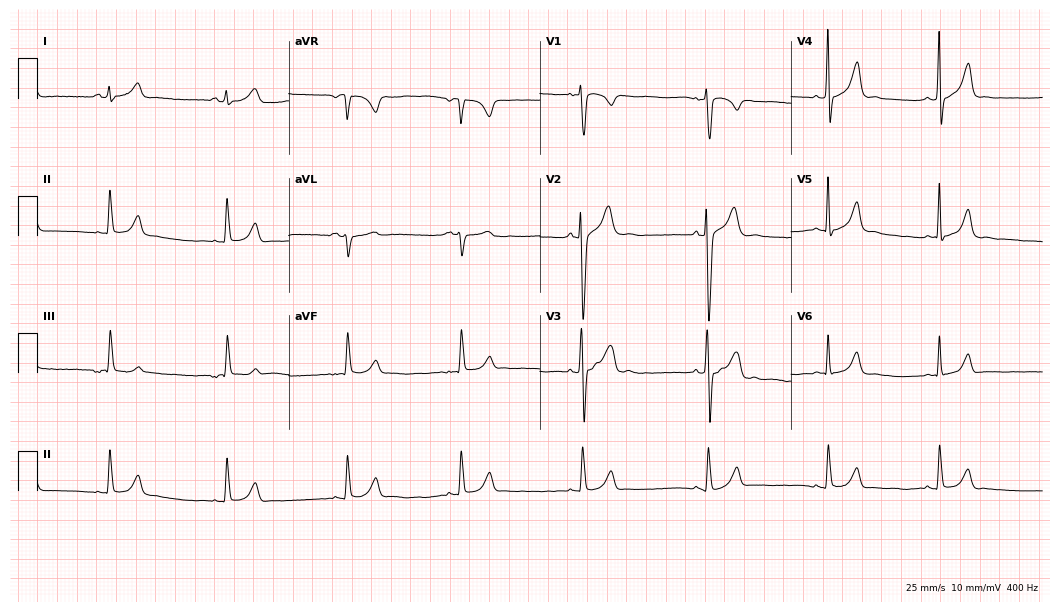
Resting 12-lead electrocardiogram. Patient: an 18-year-old man. The tracing shows sinus bradycardia (a sinus rate of 50 beats per minute or less).